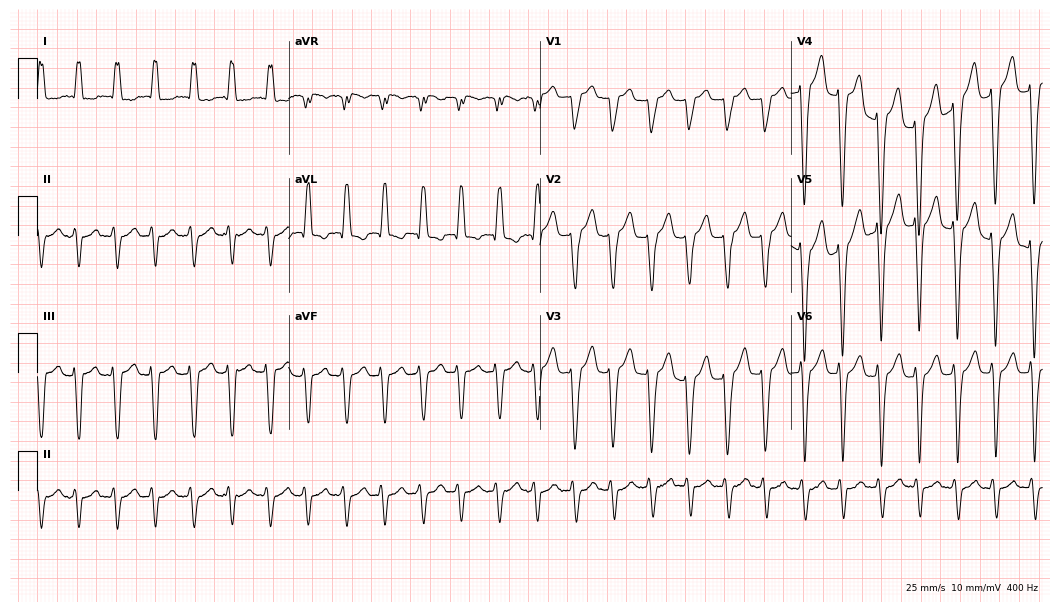
12-lead ECG from a 69-year-old female patient. Shows sinus tachycardia (a sinus rate of 100 beats per minute or more).